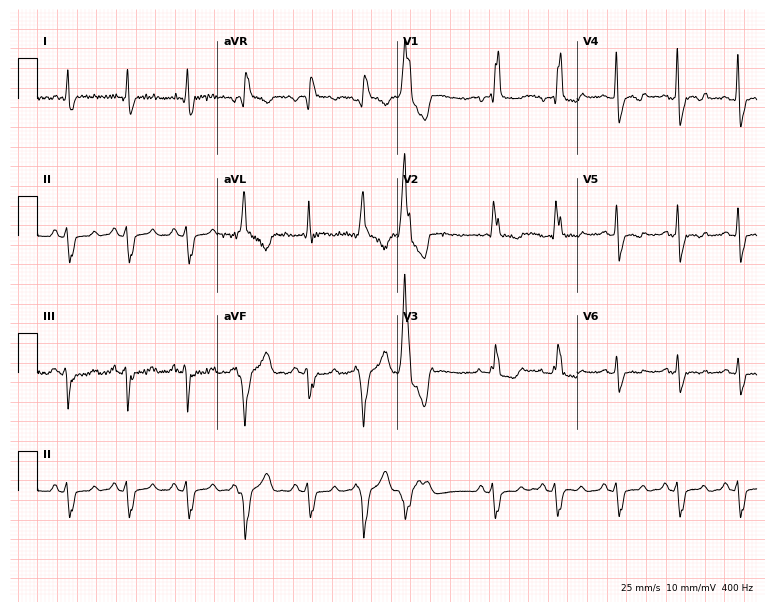
12-lead ECG (7.3-second recording at 400 Hz) from a 54-year-old male patient. Findings include right bundle branch block (RBBB).